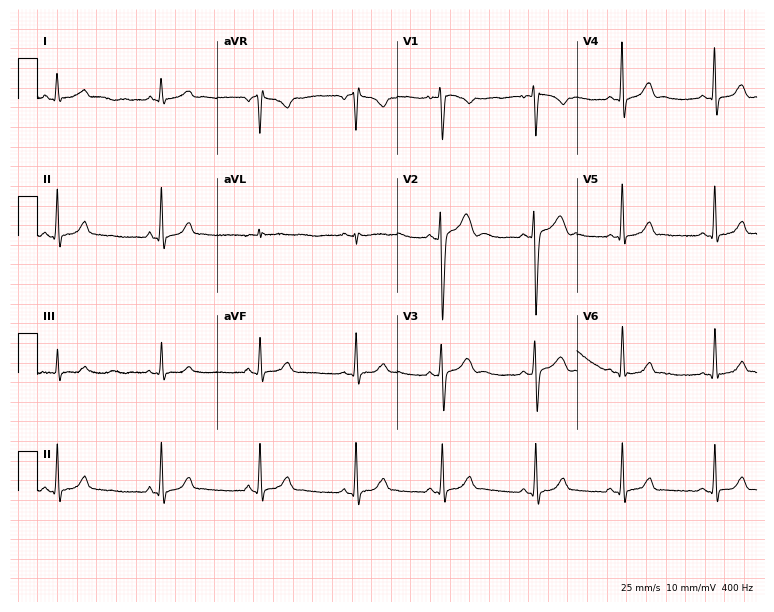
Electrocardiogram, a female patient, 19 years old. Overall reading on record: normal ECG.